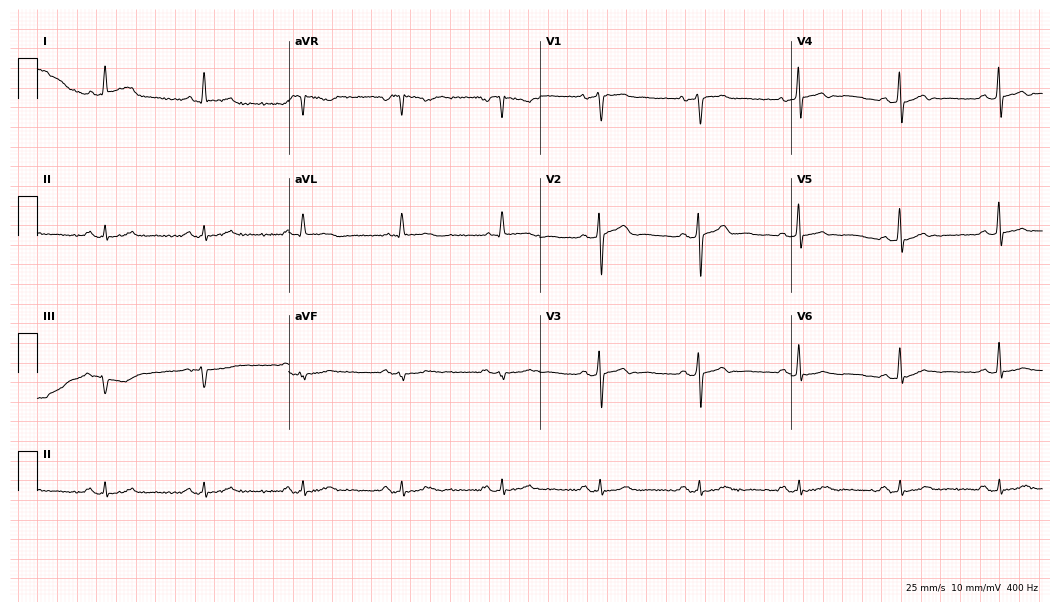
ECG — a man, 58 years old. Screened for six findings — first-degree AV block, right bundle branch block, left bundle branch block, sinus bradycardia, atrial fibrillation, sinus tachycardia — none is recorded. Only these six findings were labelled.